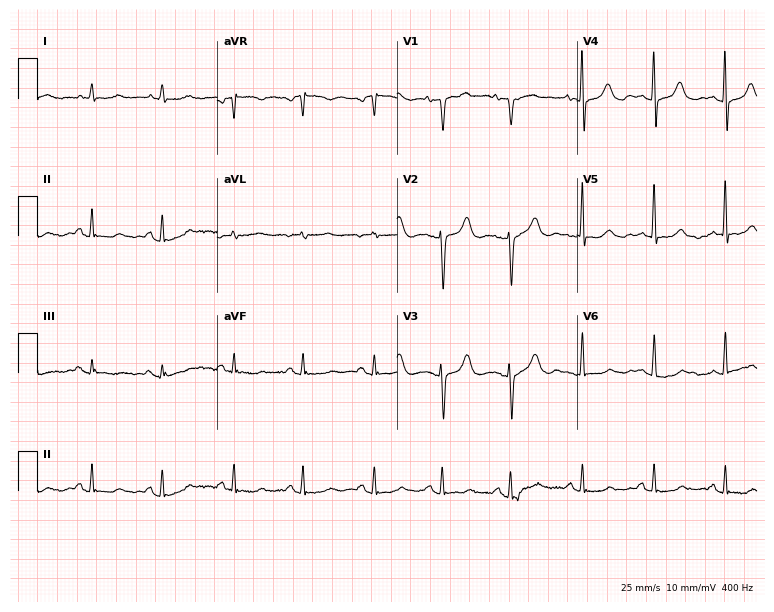
Electrocardiogram (7.3-second recording at 400 Hz), a 64-year-old female. Of the six screened findings (first-degree AV block, right bundle branch block, left bundle branch block, sinus bradycardia, atrial fibrillation, sinus tachycardia), none is recorded.